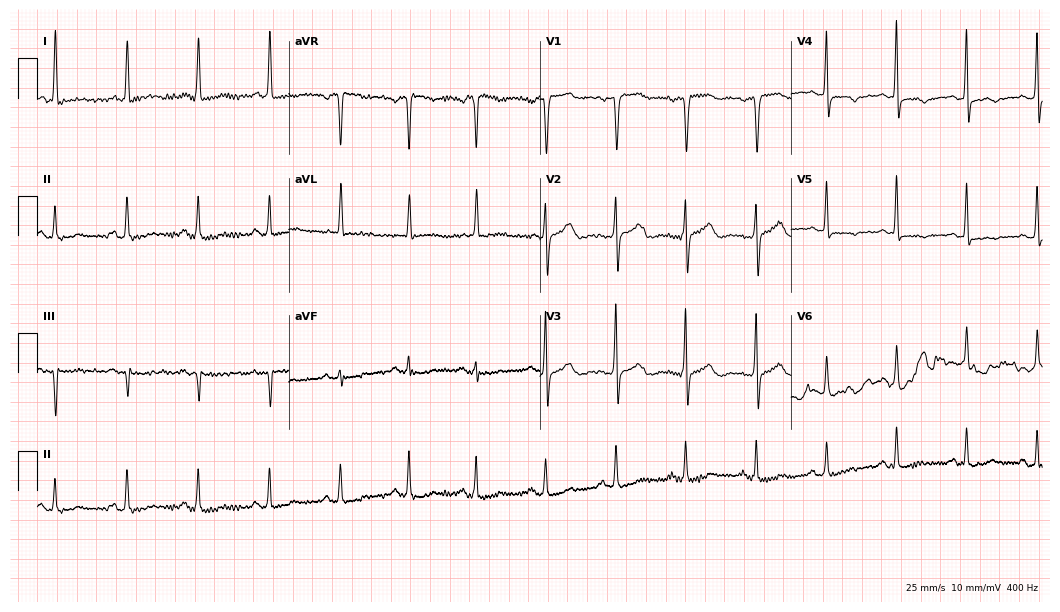
12-lead ECG from a female patient, 58 years old (10.2-second recording at 400 Hz). No first-degree AV block, right bundle branch block (RBBB), left bundle branch block (LBBB), sinus bradycardia, atrial fibrillation (AF) or sinus tachycardia recorded for this tracing.